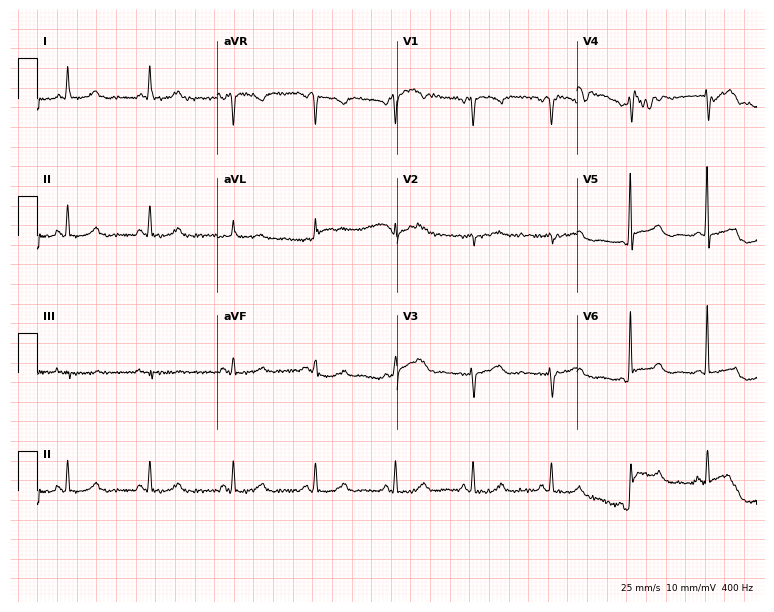
12-lead ECG from a female patient, 57 years old. Screened for six findings — first-degree AV block, right bundle branch block, left bundle branch block, sinus bradycardia, atrial fibrillation, sinus tachycardia — none is recorded. Only these six findings were labelled.